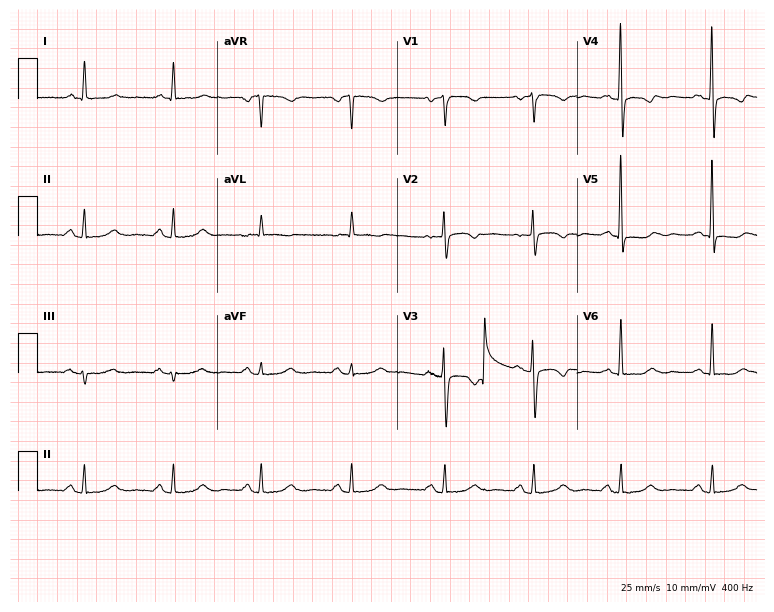
Electrocardiogram (7.3-second recording at 400 Hz), a 66-year-old female. Of the six screened findings (first-degree AV block, right bundle branch block (RBBB), left bundle branch block (LBBB), sinus bradycardia, atrial fibrillation (AF), sinus tachycardia), none is recorded. Findings outside these six are not listed.